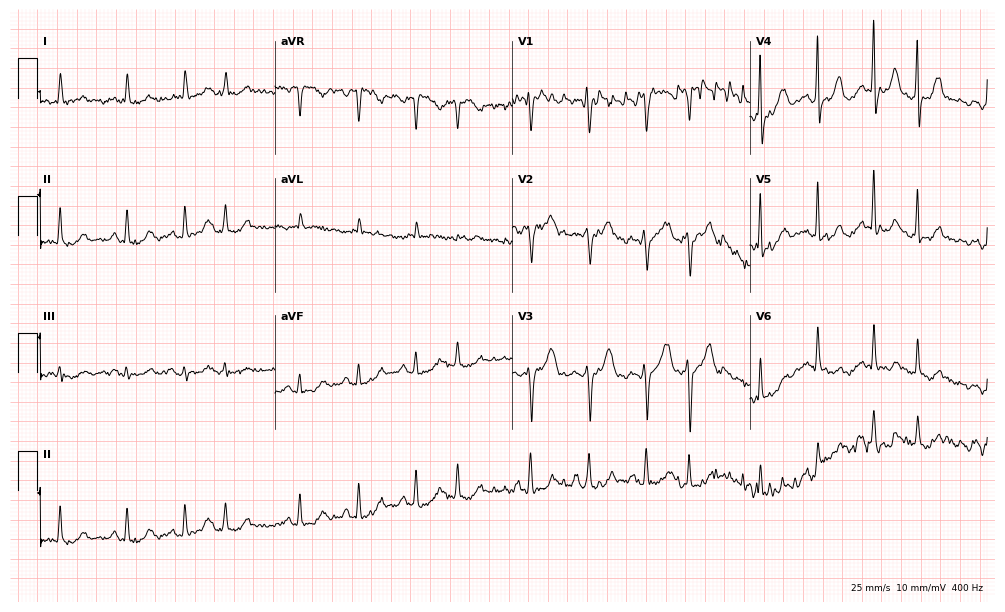
Standard 12-lead ECG recorded from a 77-year-old female (9.7-second recording at 400 Hz). None of these six findings is recorded: first-degree AV block, right bundle branch block, left bundle branch block, sinus bradycardia, atrial fibrillation, sinus tachycardia.